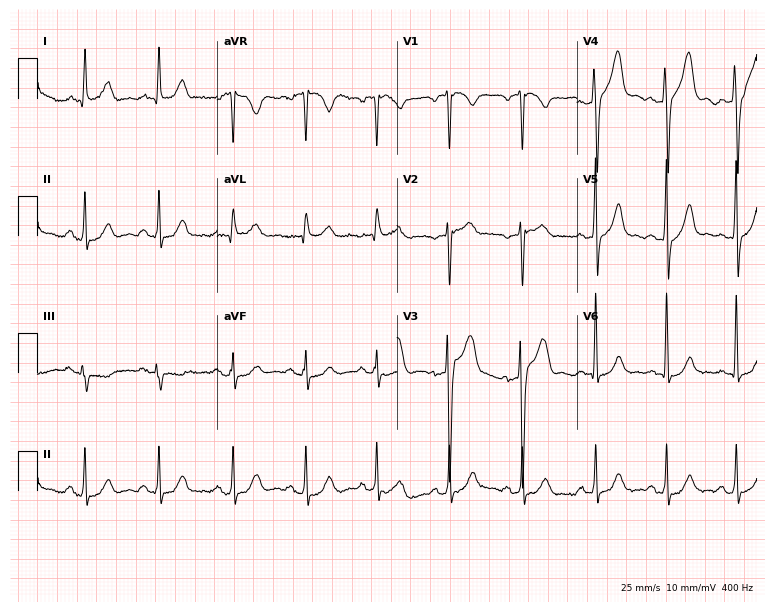
12-lead ECG from a 49-year-old female (7.3-second recording at 400 Hz). No first-degree AV block, right bundle branch block (RBBB), left bundle branch block (LBBB), sinus bradycardia, atrial fibrillation (AF) or sinus tachycardia recorded for this tracing. Other findings, if any, are not listed.